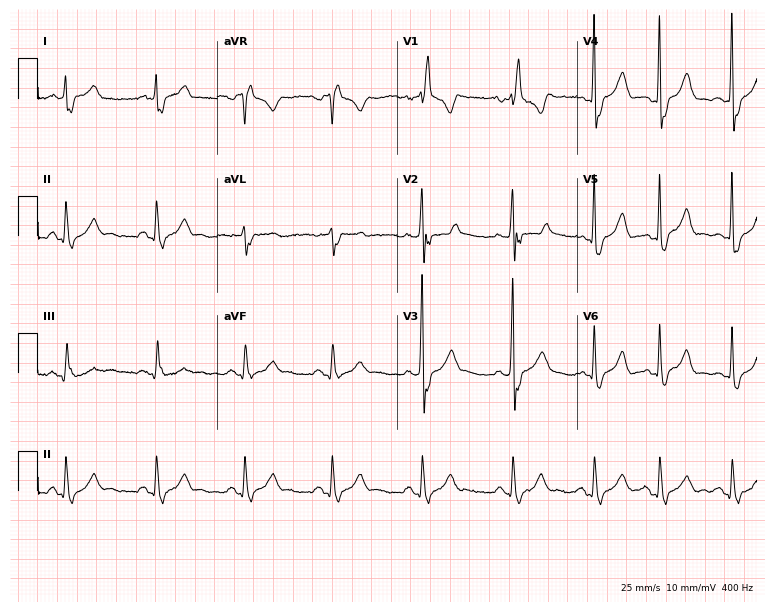
12-lead ECG from a male patient, 57 years old (7.3-second recording at 400 Hz). Shows right bundle branch block.